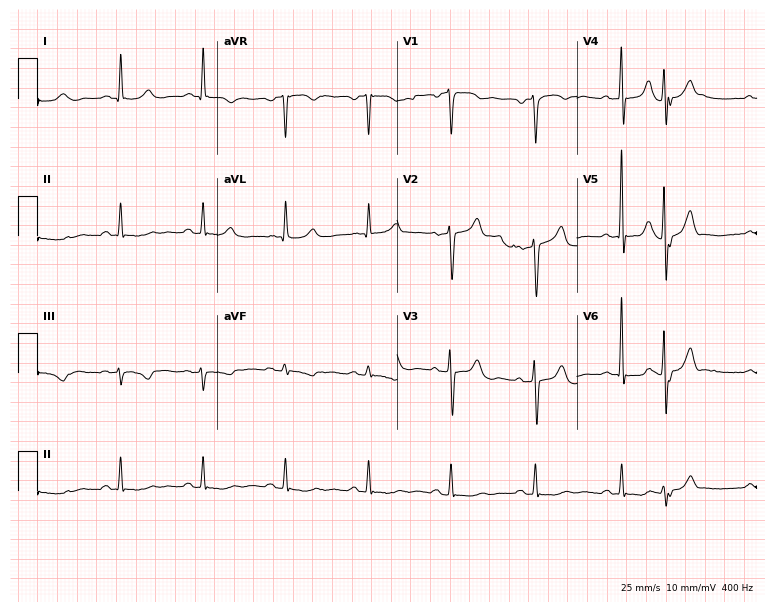
Electrocardiogram (7.3-second recording at 400 Hz), a male patient, 79 years old. Of the six screened findings (first-degree AV block, right bundle branch block (RBBB), left bundle branch block (LBBB), sinus bradycardia, atrial fibrillation (AF), sinus tachycardia), none is recorded.